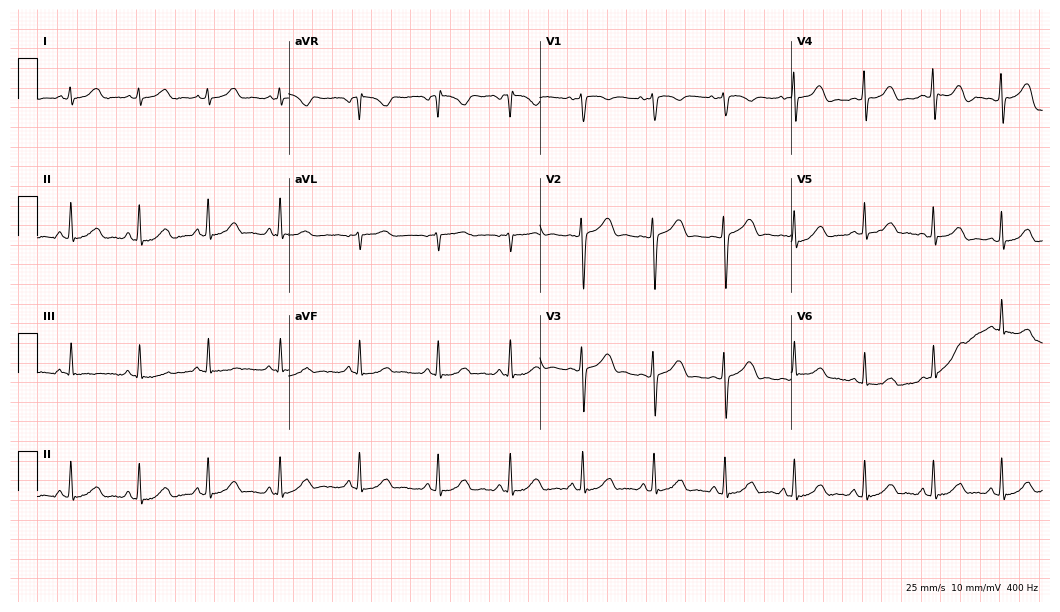
12-lead ECG (10.2-second recording at 400 Hz) from a 30-year-old woman. Labelled as a normal ECG.